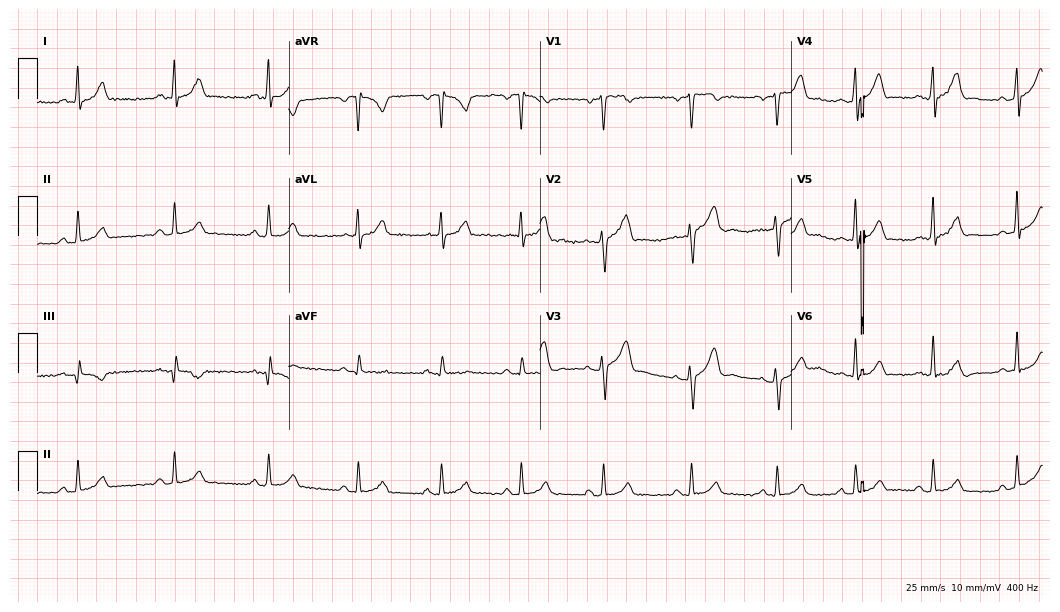
ECG (10.2-second recording at 400 Hz) — a 26-year-old male. Labelled as a normal ECG.